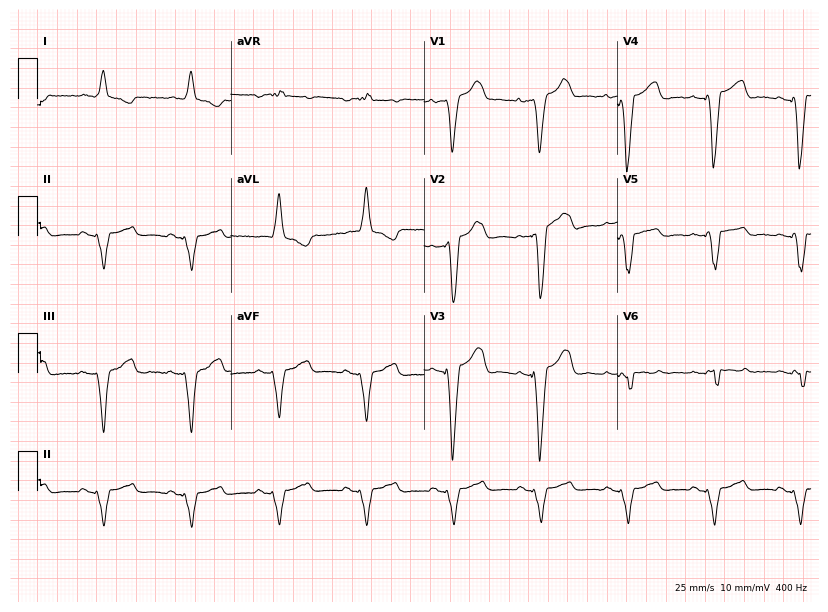
ECG — a man, 46 years old. Screened for six findings — first-degree AV block, right bundle branch block (RBBB), left bundle branch block (LBBB), sinus bradycardia, atrial fibrillation (AF), sinus tachycardia — none is recorded. Other findings, if any, are not listed.